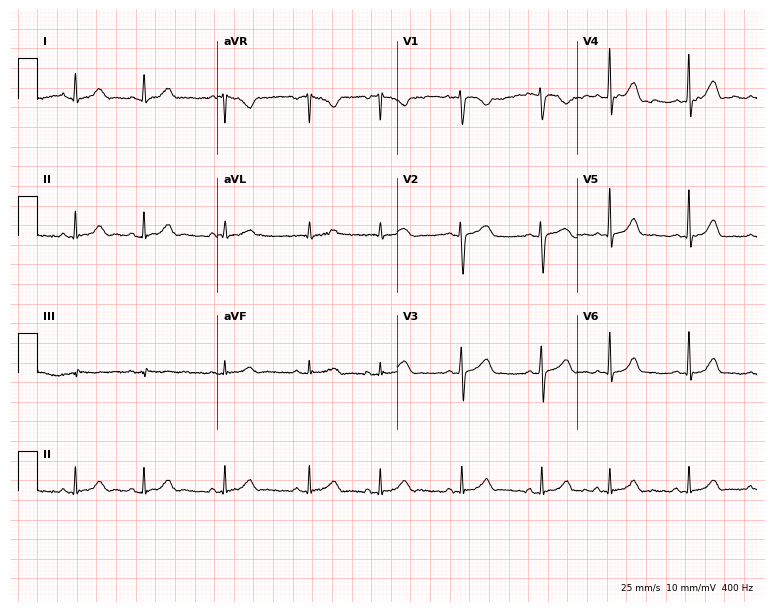
ECG — a woman, 21 years old. Labelled as a normal ECG.